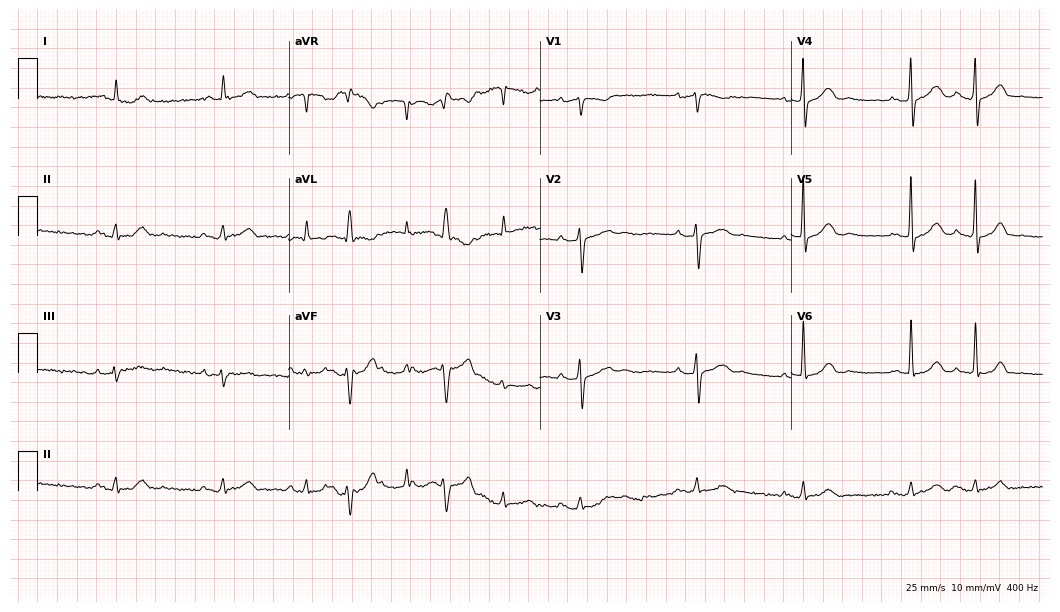
ECG (10.2-second recording at 400 Hz) — a 66-year-old female patient. Screened for six findings — first-degree AV block, right bundle branch block, left bundle branch block, sinus bradycardia, atrial fibrillation, sinus tachycardia — none is recorded. Other findings, if any, are not listed.